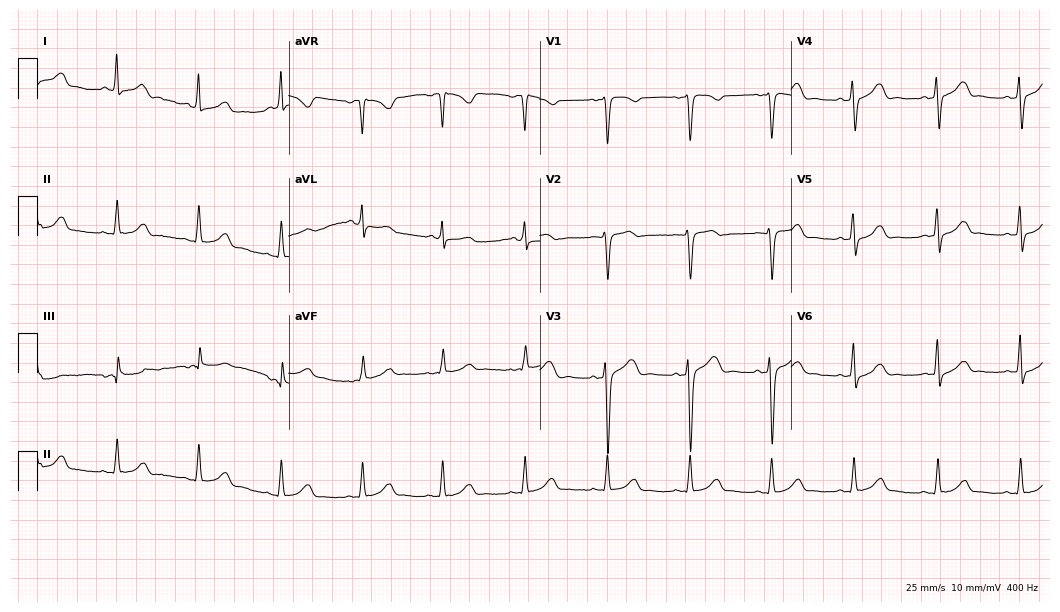
ECG — a female, 34 years old. Labelled as a normal ECG.